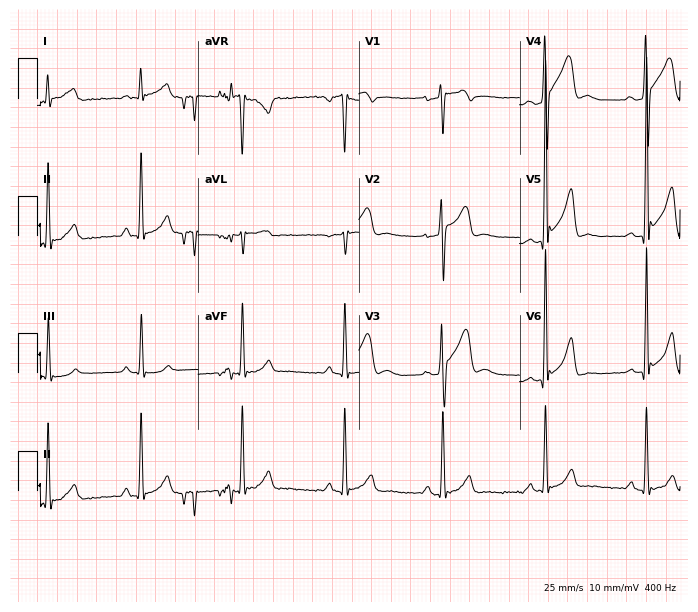
12-lead ECG from a man, 35 years old. Screened for six findings — first-degree AV block, right bundle branch block (RBBB), left bundle branch block (LBBB), sinus bradycardia, atrial fibrillation (AF), sinus tachycardia — none is recorded.